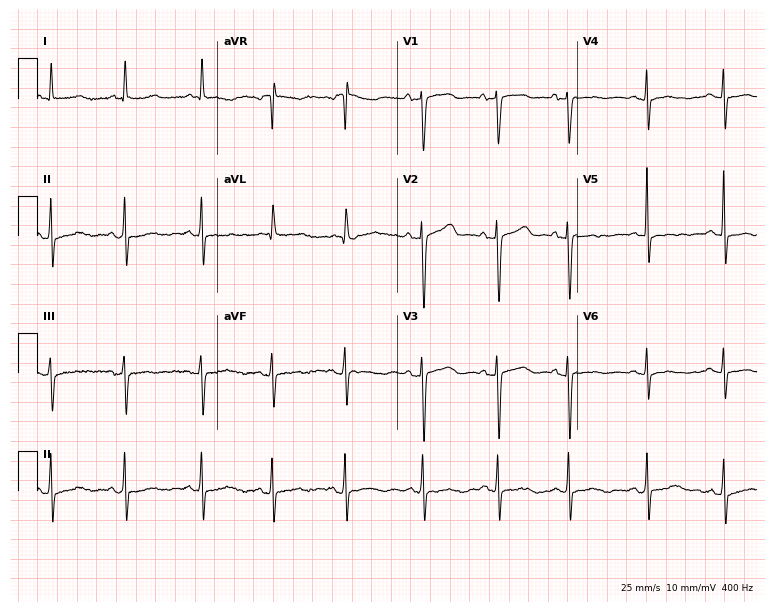
12-lead ECG from a female patient, 73 years old (7.3-second recording at 400 Hz). No first-degree AV block, right bundle branch block (RBBB), left bundle branch block (LBBB), sinus bradycardia, atrial fibrillation (AF) or sinus tachycardia recorded for this tracing. Other findings, if any, are not listed.